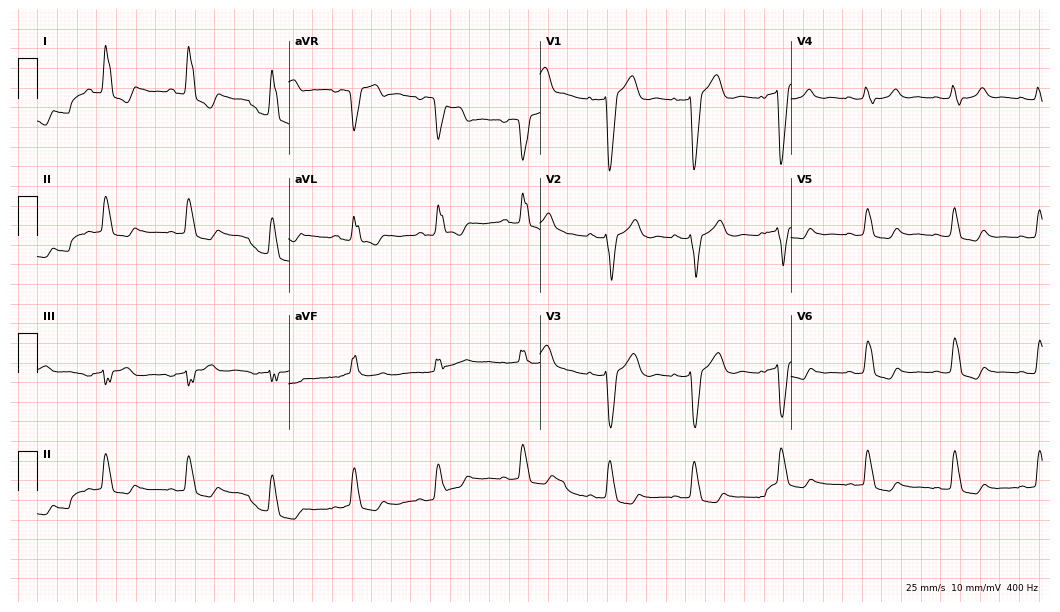
Resting 12-lead electrocardiogram (10.2-second recording at 400 Hz). Patient: a female, 64 years old. The tracing shows left bundle branch block.